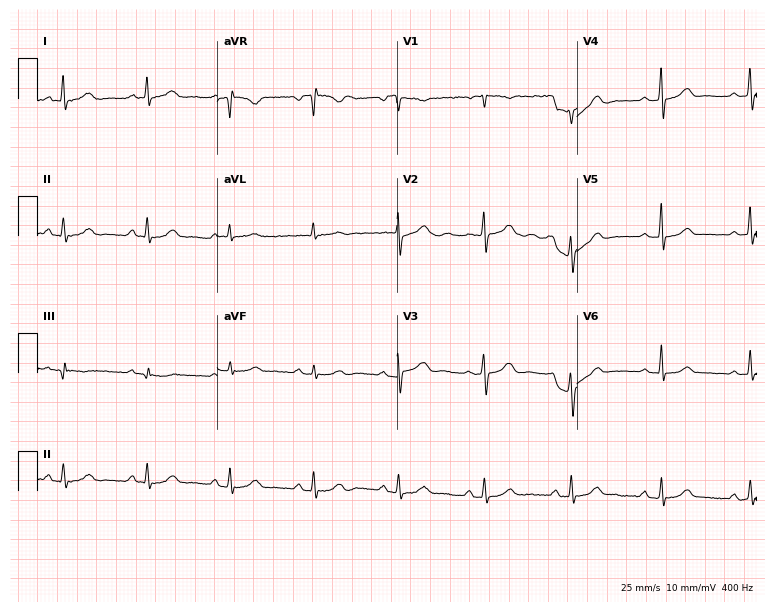
Standard 12-lead ECG recorded from a woman, 52 years old (7.3-second recording at 400 Hz). None of these six findings is recorded: first-degree AV block, right bundle branch block (RBBB), left bundle branch block (LBBB), sinus bradycardia, atrial fibrillation (AF), sinus tachycardia.